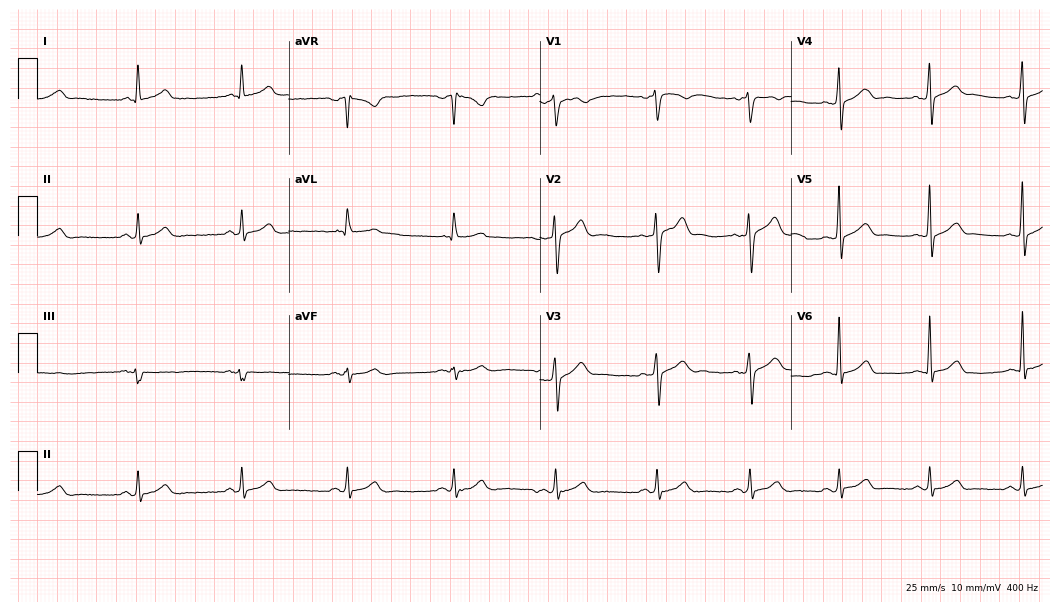
12-lead ECG from a male, 49 years old. Recorded interpretation: within normal limits.